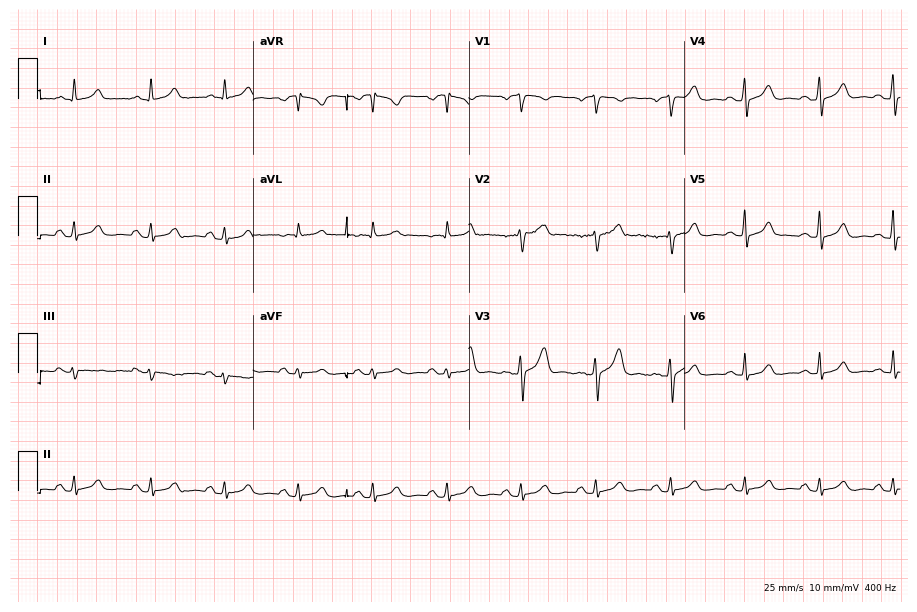
Electrocardiogram (8.8-second recording at 400 Hz), a 39-year-old female patient. Overall reading on record: normal ECG.